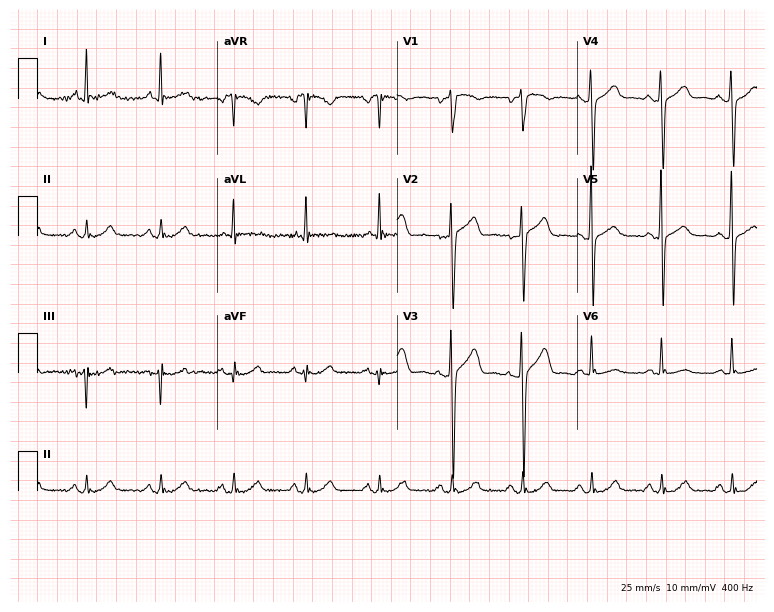
ECG — a 39-year-old male. Screened for six findings — first-degree AV block, right bundle branch block (RBBB), left bundle branch block (LBBB), sinus bradycardia, atrial fibrillation (AF), sinus tachycardia — none is recorded.